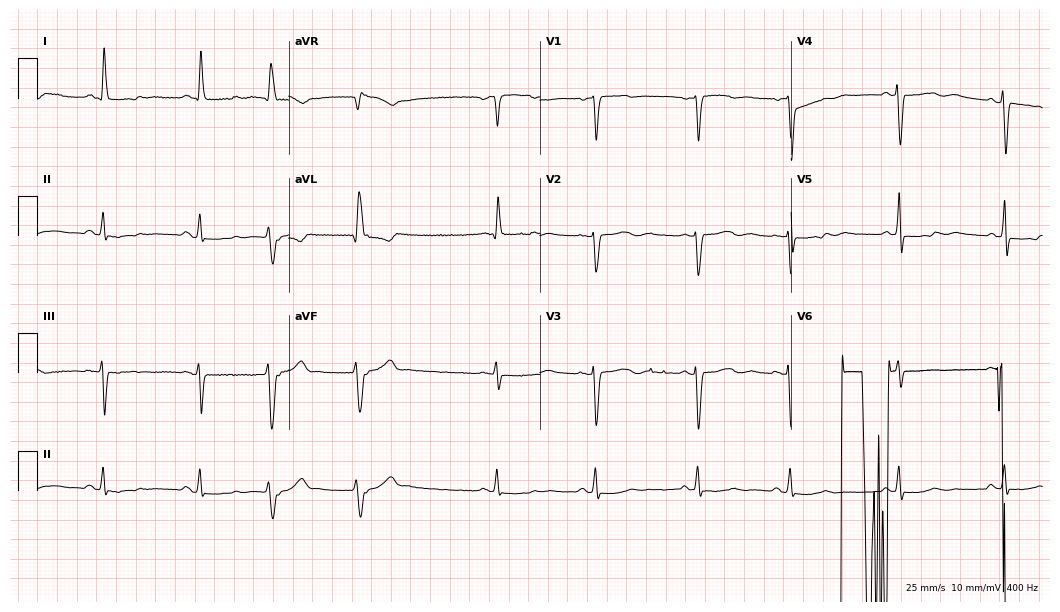
Standard 12-lead ECG recorded from a female patient, 66 years old. None of these six findings is recorded: first-degree AV block, right bundle branch block, left bundle branch block, sinus bradycardia, atrial fibrillation, sinus tachycardia. Only these six findings were labelled.